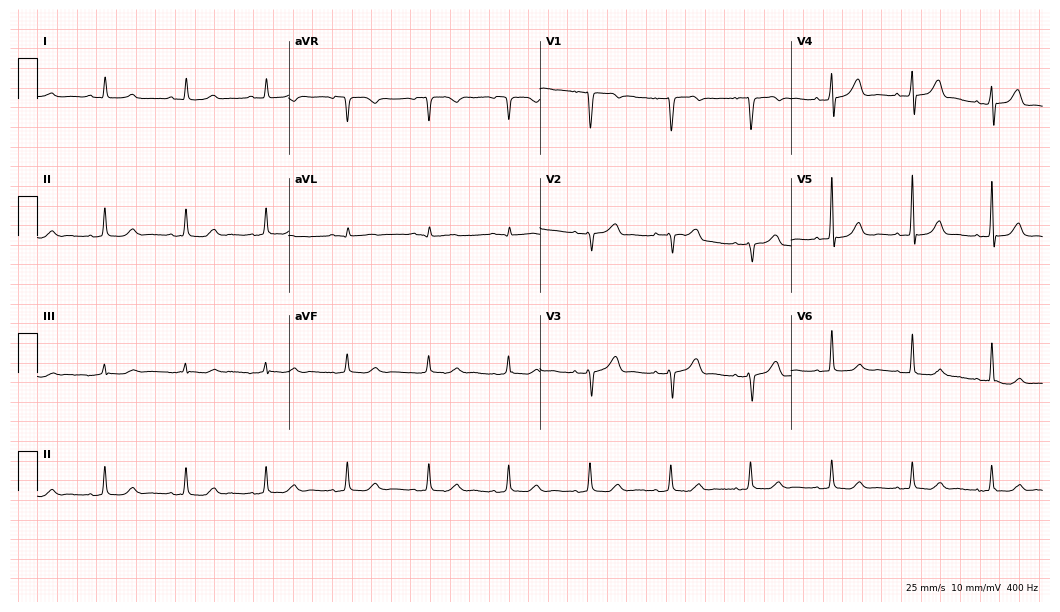
ECG — a man, 82 years old. Screened for six findings — first-degree AV block, right bundle branch block (RBBB), left bundle branch block (LBBB), sinus bradycardia, atrial fibrillation (AF), sinus tachycardia — none is recorded.